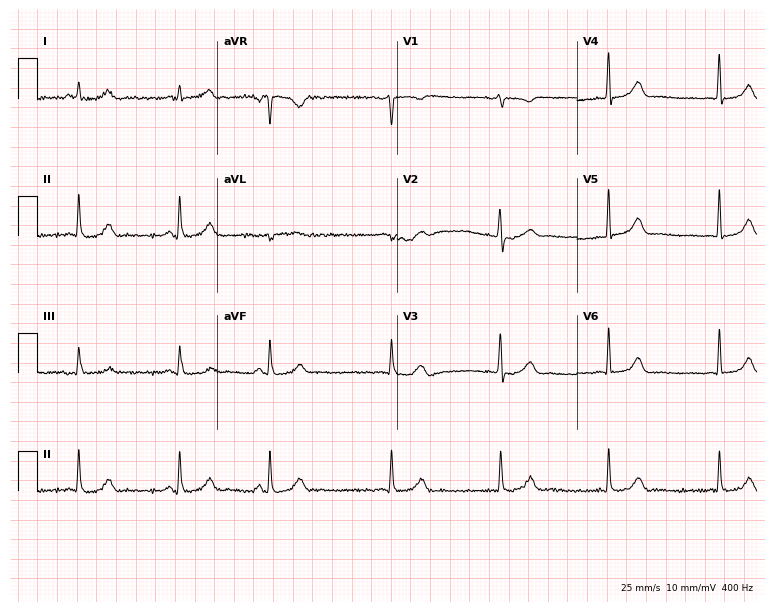
Electrocardiogram (7.3-second recording at 400 Hz), a female, 18 years old. Overall reading on record: normal ECG.